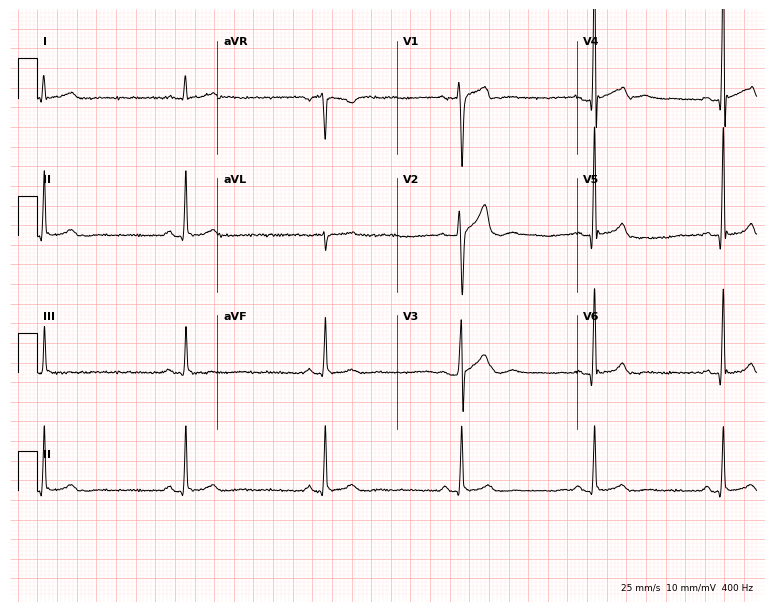
Resting 12-lead electrocardiogram. Patient: a male, 47 years old. The tracing shows sinus bradycardia (a sinus rate of 50 beats per minute or less).